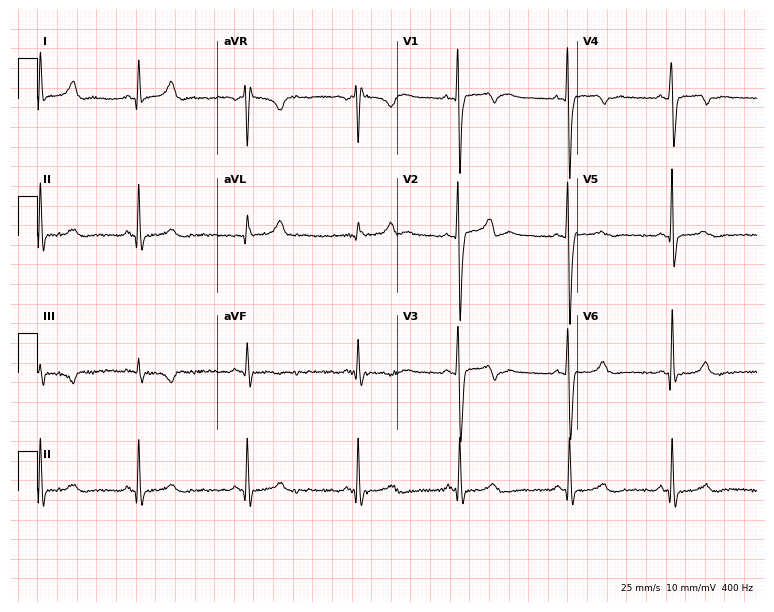
12-lead ECG (7.3-second recording at 400 Hz) from a male patient, 28 years old. Screened for six findings — first-degree AV block, right bundle branch block, left bundle branch block, sinus bradycardia, atrial fibrillation, sinus tachycardia — none is recorded.